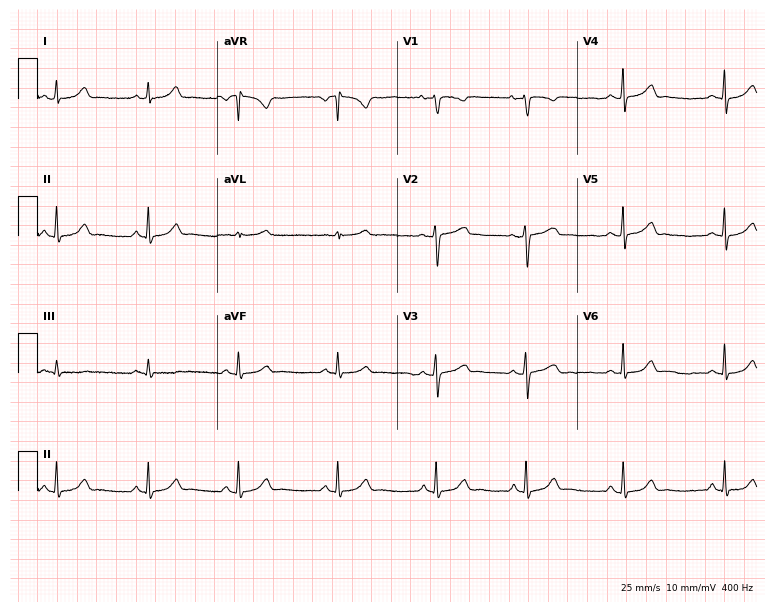
12-lead ECG (7.3-second recording at 400 Hz) from a 24-year-old female. Labelled as a normal ECG.